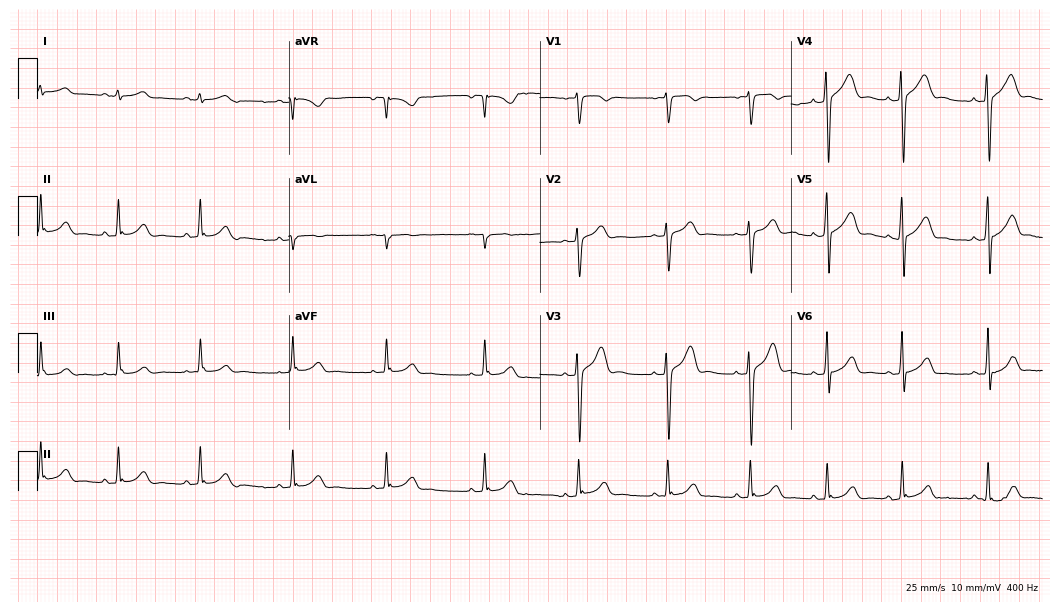
12-lead ECG (10.2-second recording at 400 Hz) from a male, 20 years old. Screened for six findings — first-degree AV block, right bundle branch block, left bundle branch block, sinus bradycardia, atrial fibrillation, sinus tachycardia — none is recorded.